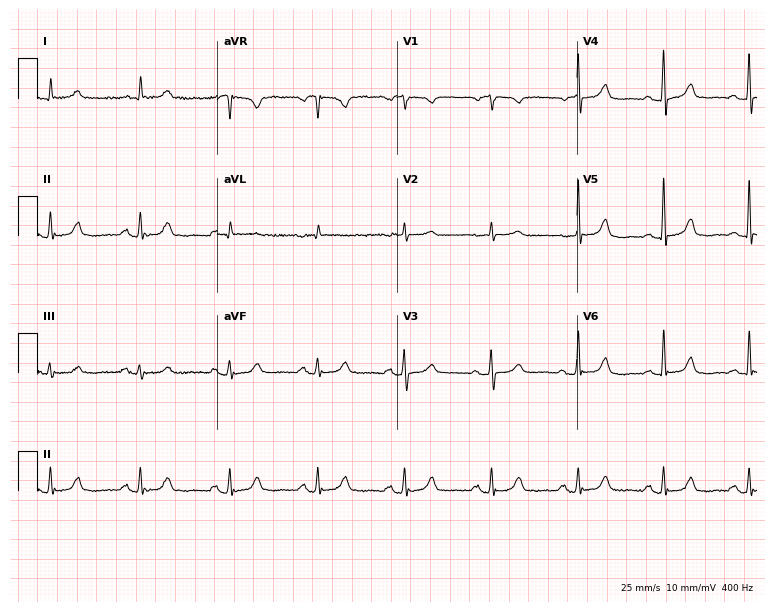
Resting 12-lead electrocardiogram. Patient: a female, 83 years old. None of these six findings is recorded: first-degree AV block, right bundle branch block, left bundle branch block, sinus bradycardia, atrial fibrillation, sinus tachycardia. Other findings, if any, are not listed.